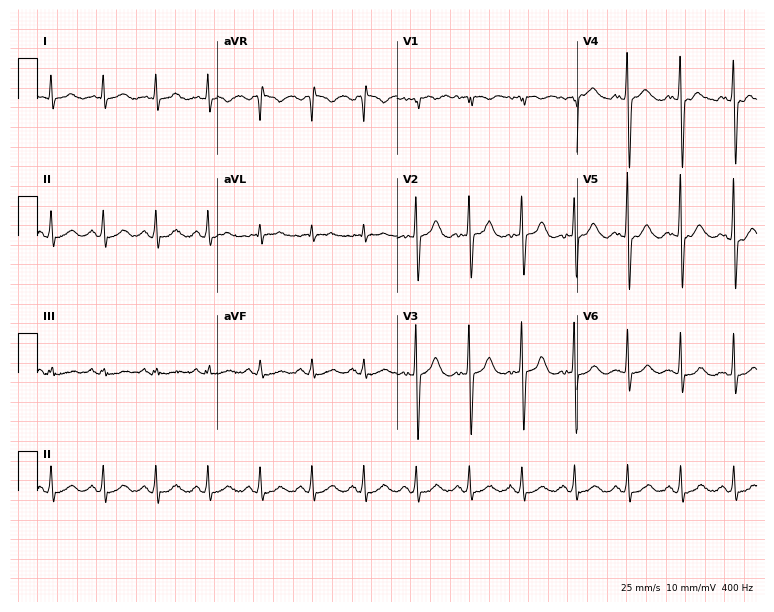
12-lead ECG from a 43-year-old female (7.3-second recording at 400 Hz). Shows sinus tachycardia (a sinus rate of 100 beats per minute or more).